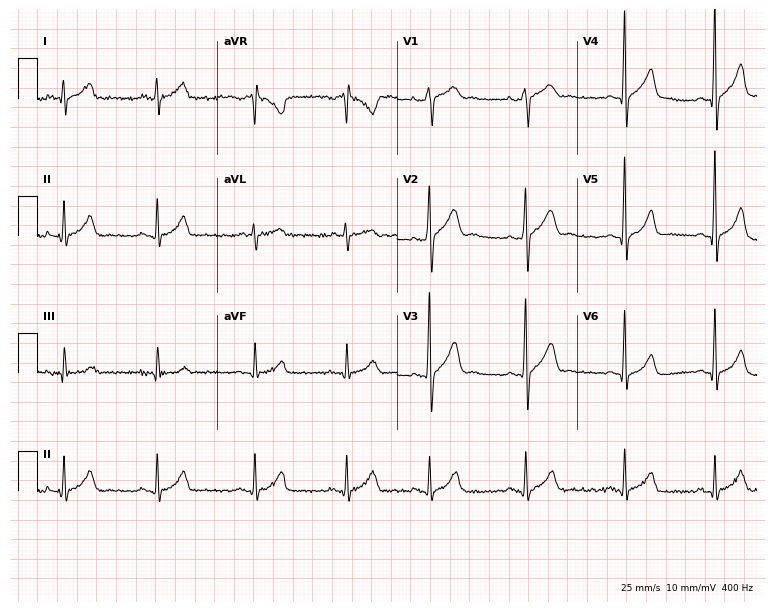
Resting 12-lead electrocardiogram (7.3-second recording at 400 Hz). Patient: a 27-year-old man. Read as a normal ECG.